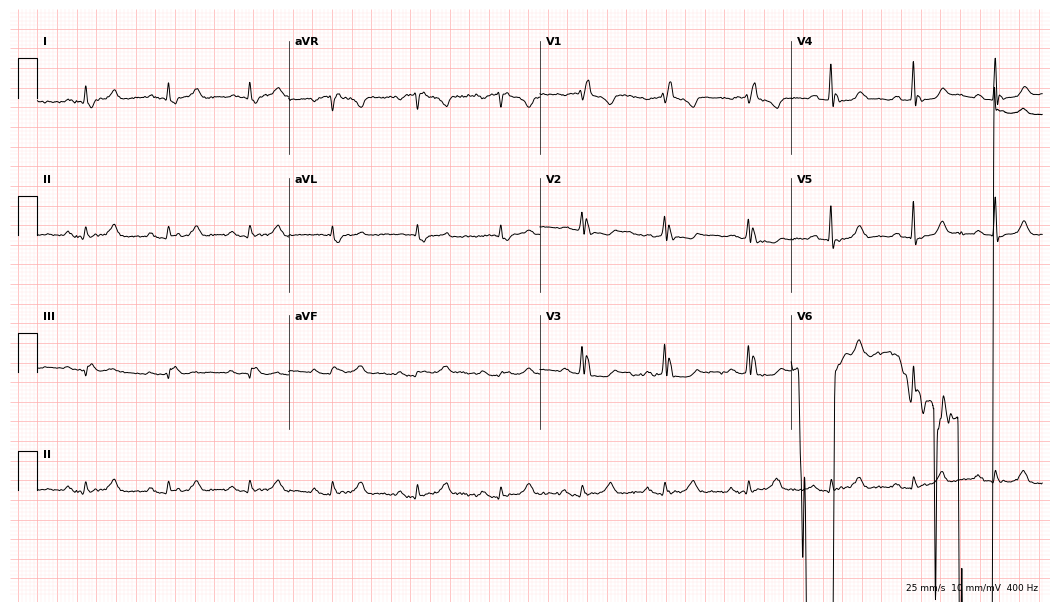
Resting 12-lead electrocardiogram. Patient: an 82-year-old male. None of these six findings is recorded: first-degree AV block, right bundle branch block, left bundle branch block, sinus bradycardia, atrial fibrillation, sinus tachycardia.